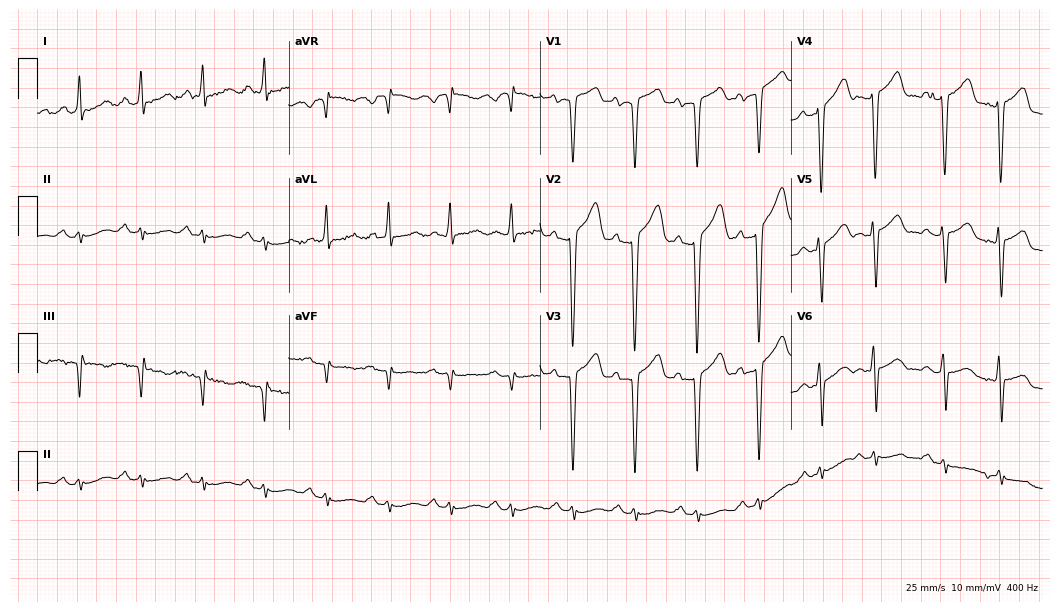
Resting 12-lead electrocardiogram. Patient: a male, 48 years old. None of these six findings is recorded: first-degree AV block, right bundle branch block, left bundle branch block, sinus bradycardia, atrial fibrillation, sinus tachycardia.